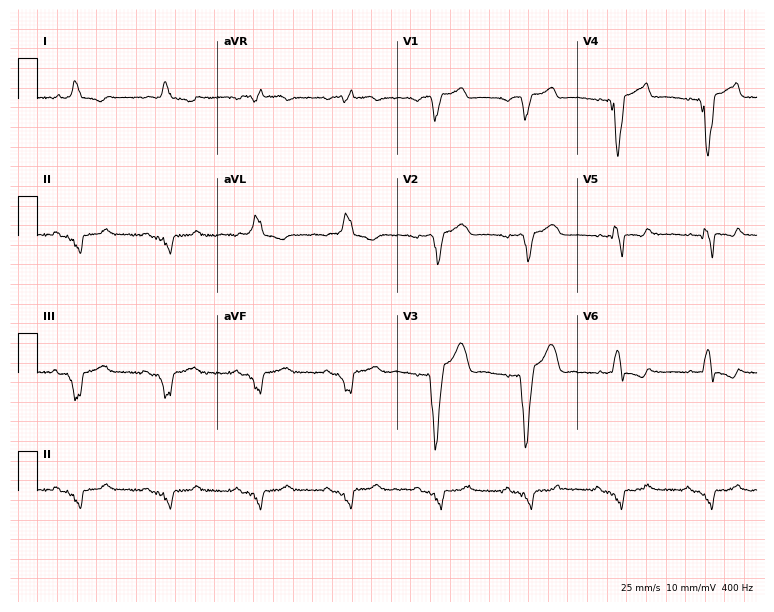
ECG (7.3-second recording at 400 Hz) — a 55-year-old man. Findings include left bundle branch block.